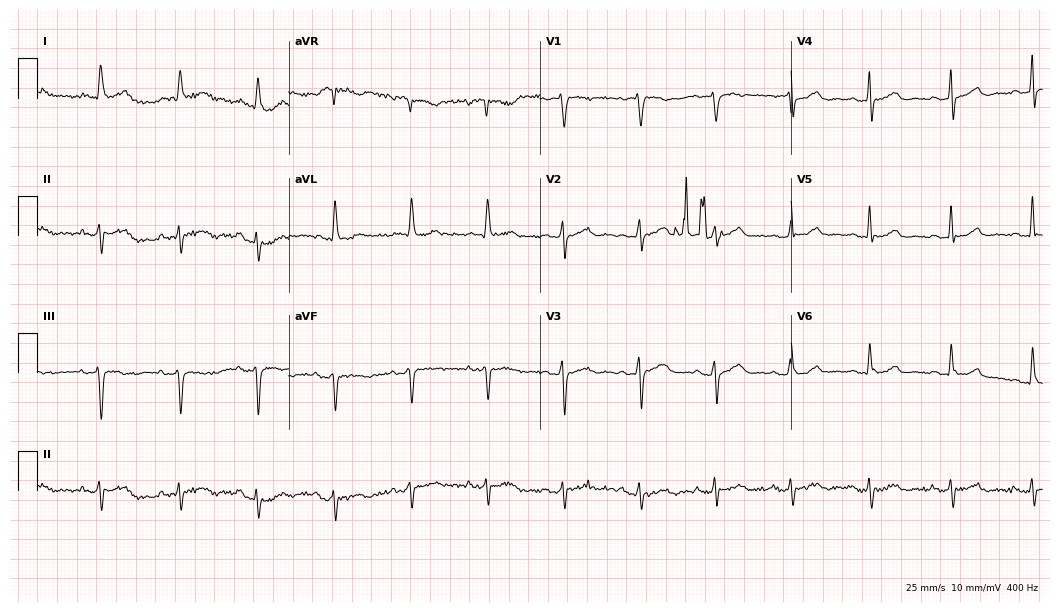
Resting 12-lead electrocardiogram (10.2-second recording at 400 Hz). Patient: a 75-year-old female. None of these six findings is recorded: first-degree AV block, right bundle branch block, left bundle branch block, sinus bradycardia, atrial fibrillation, sinus tachycardia.